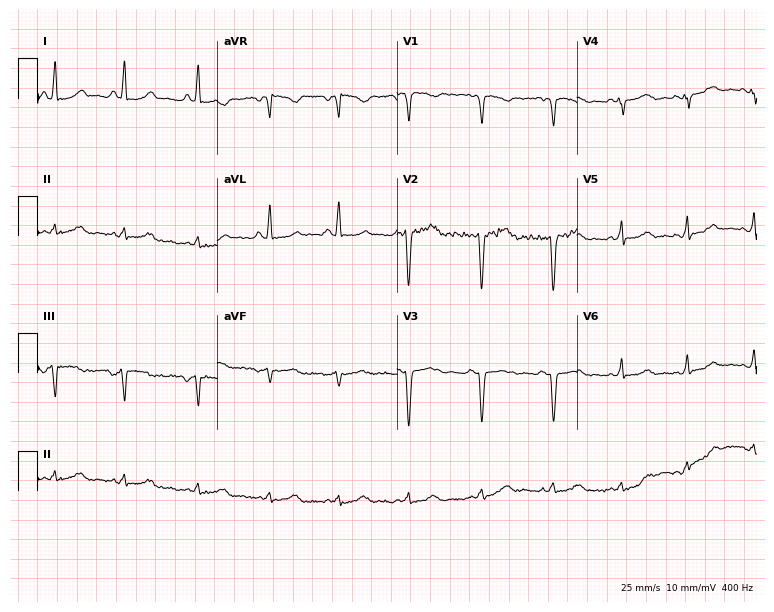
12-lead ECG (7.3-second recording at 400 Hz) from a female patient, 34 years old. Screened for six findings — first-degree AV block, right bundle branch block, left bundle branch block, sinus bradycardia, atrial fibrillation, sinus tachycardia — none is recorded.